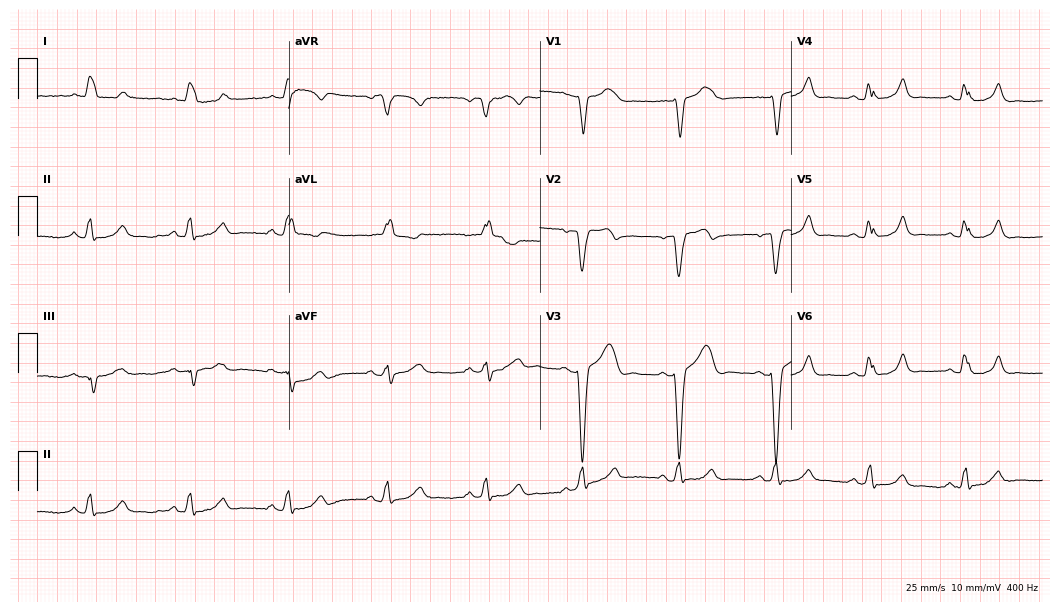
ECG (10.2-second recording at 400 Hz) — a woman, 84 years old. Findings include left bundle branch block (LBBB).